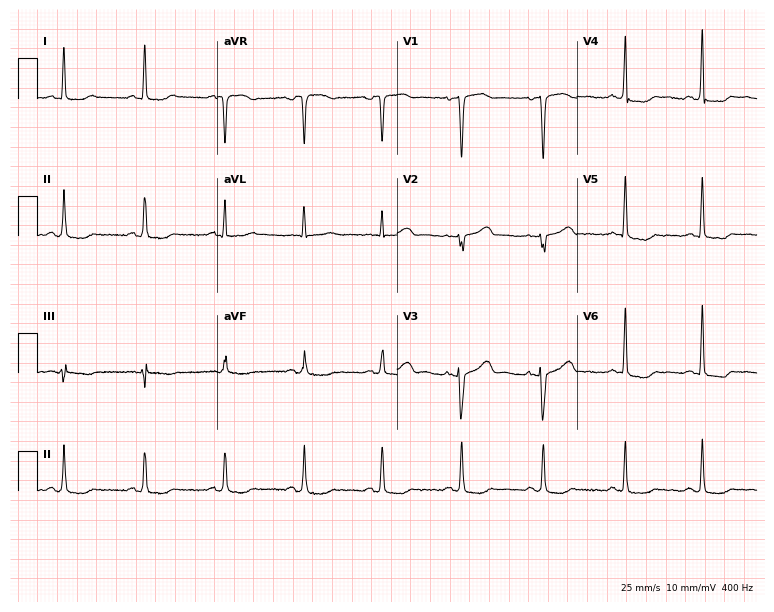
Standard 12-lead ECG recorded from a female, 43 years old (7.3-second recording at 400 Hz). None of these six findings is recorded: first-degree AV block, right bundle branch block, left bundle branch block, sinus bradycardia, atrial fibrillation, sinus tachycardia.